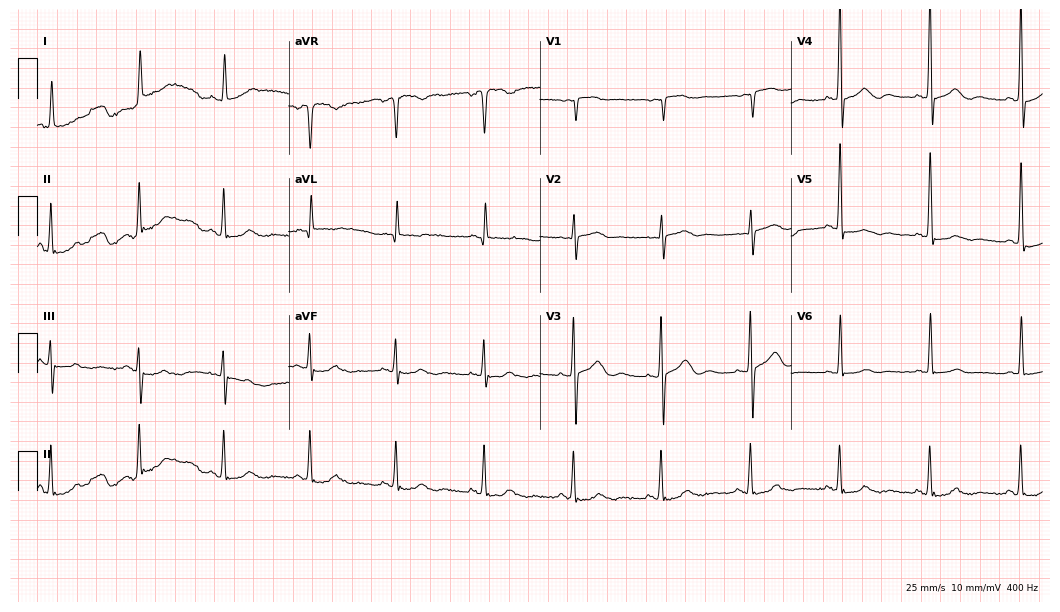
12-lead ECG from a woman, 73 years old (10.2-second recording at 400 Hz). Recorded interpretation: within normal limits.